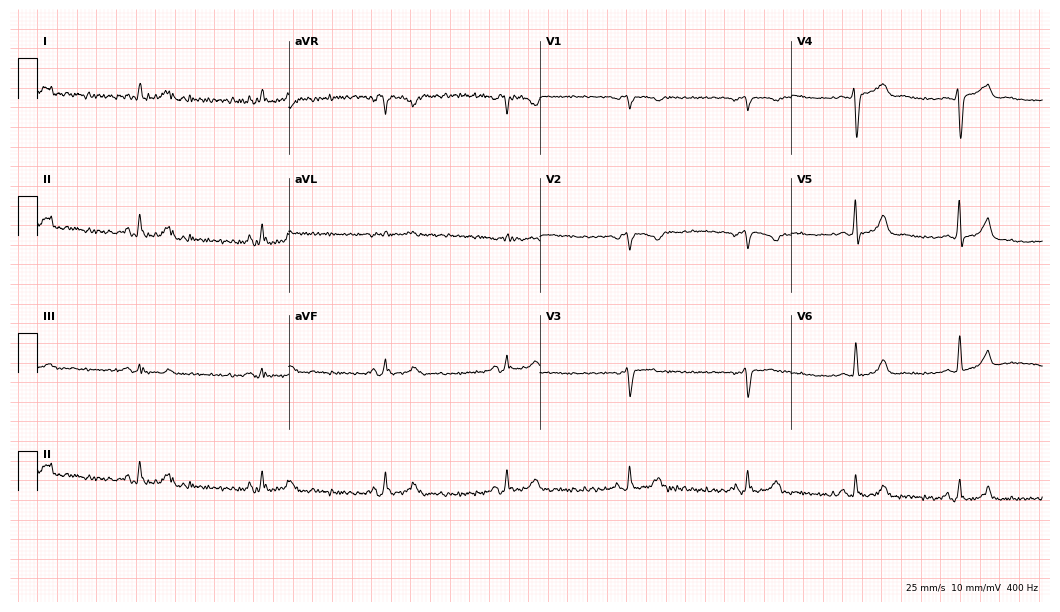
ECG (10.2-second recording at 400 Hz) — a 58-year-old male. Findings include sinus bradycardia (a sinus rate of 50 beats per minute or less).